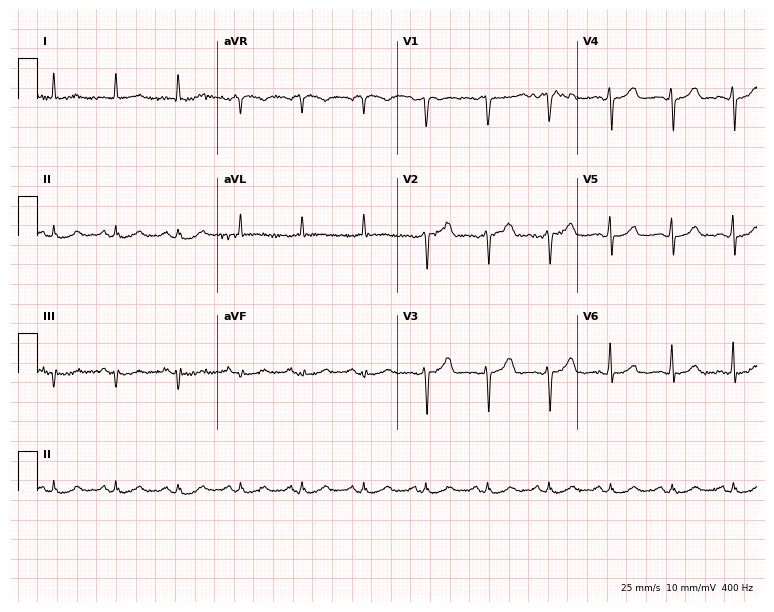
Resting 12-lead electrocardiogram (7.3-second recording at 400 Hz). Patient: a 79-year-old man. Read as a normal ECG.